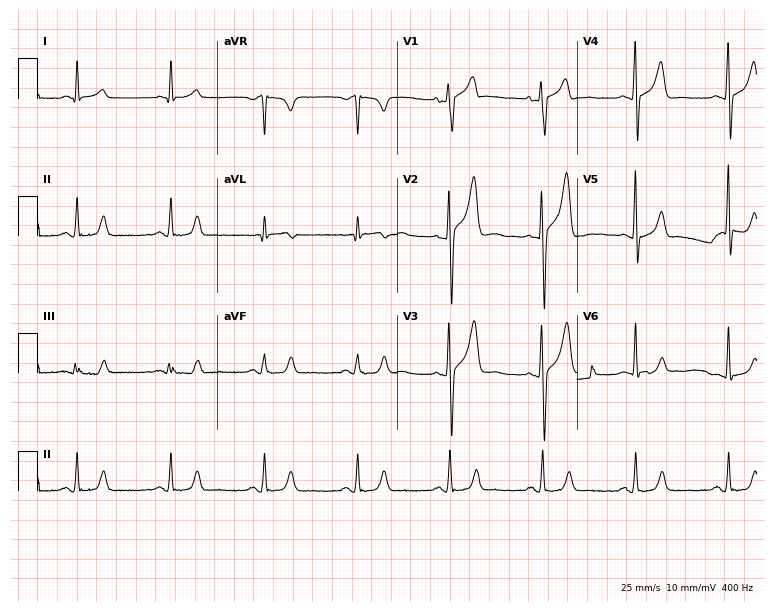
Electrocardiogram (7.3-second recording at 400 Hz), a male patient, 48 years old. Overall reading on record: normal ECG.